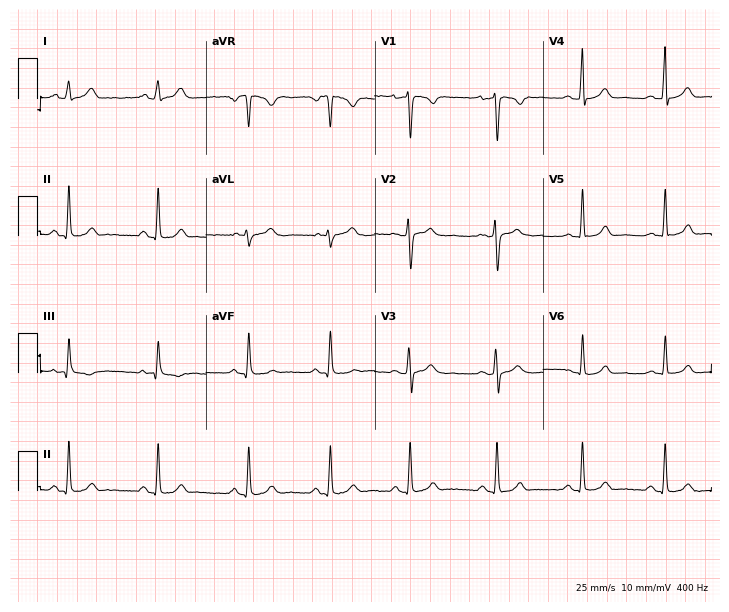
Standard 12-lead ECG recorded from a female patient, 20 years old (6.9-second recording at 400 Hz). None of these six findings is recorded: first-degree AV block, right bundle branch block, left bundle branch block, sinus bradycardia, atrial fibrillation, sinus tachycardia. Only these six findings were labelled.